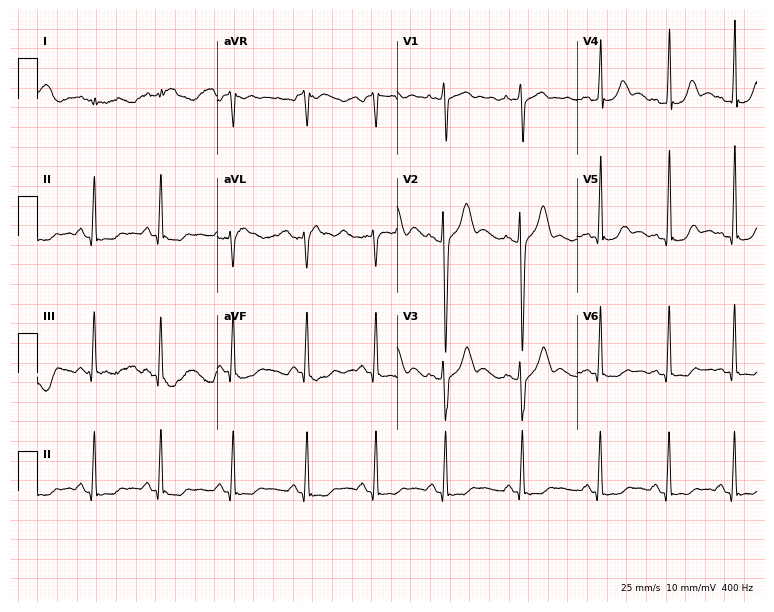
12-lead ECG from a 28-year-old male patient. Screened for six findings — first-degree AV block, right bundle branch block, left bundle branch block, sinus bradycardia, atrial fibrillation, sinus tachycardia — none is recorded. Other findings, if any, are not listed.